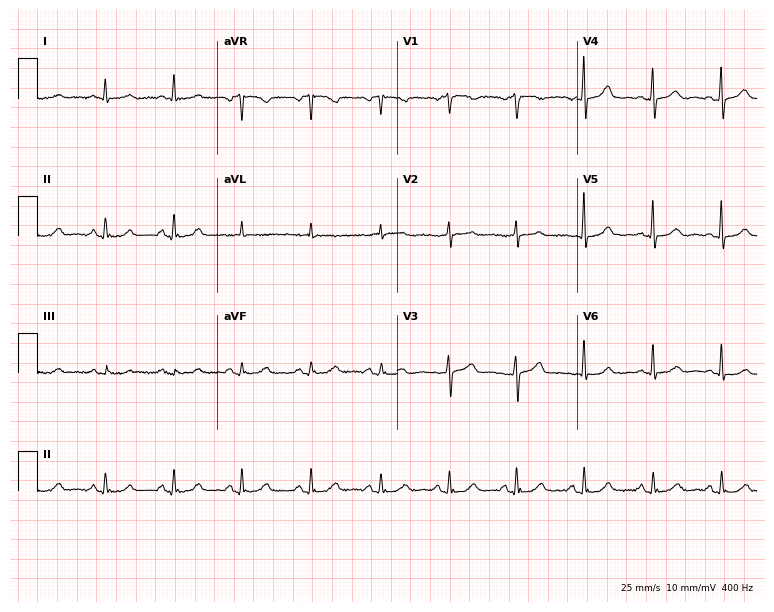
Electrocardiogram (7.3-second recording at 400 Hz), a 70-year-old female patient. Of the six screened findings (first-degree AV block, right bundle branch block, left bundle branch block, sinus bradycardia, atrial fibrillation, sinus tachycardia), none is recorded. Other findings, if any, are not listed.